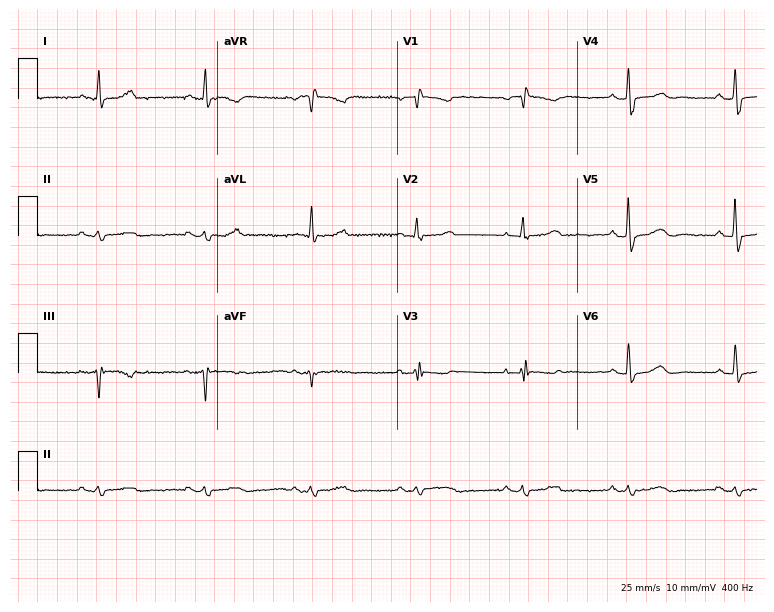
Electrocardiogram (7.3-second recording at 400 Hz), a male patient, 73 years old. Of the six screened findings (first-degree AV block, right bundle branch block (RBBB), left bundle branch block (LBBB), sinus bradycardia, atrial fibrillation (AF), sinus tachycardia), none is recorded.